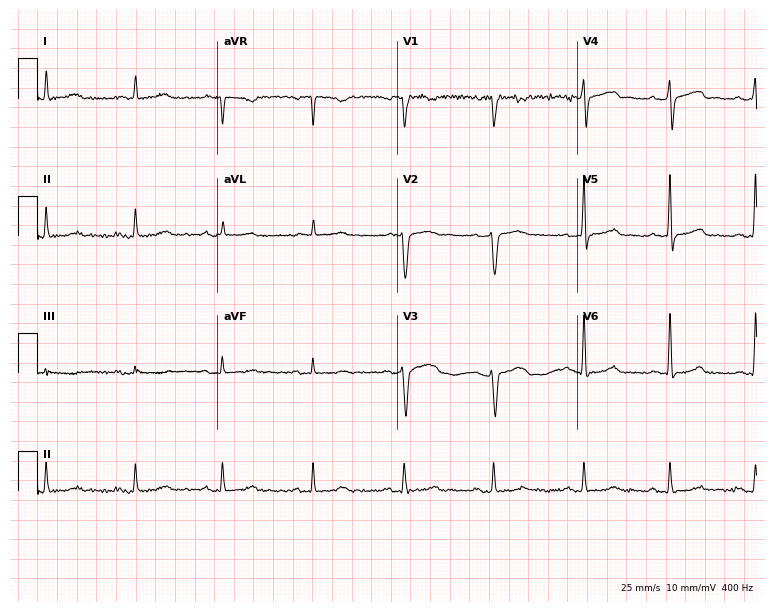
Standard 12-lead ECG recorded from a male, 53 years old. Read as a normal ECG.